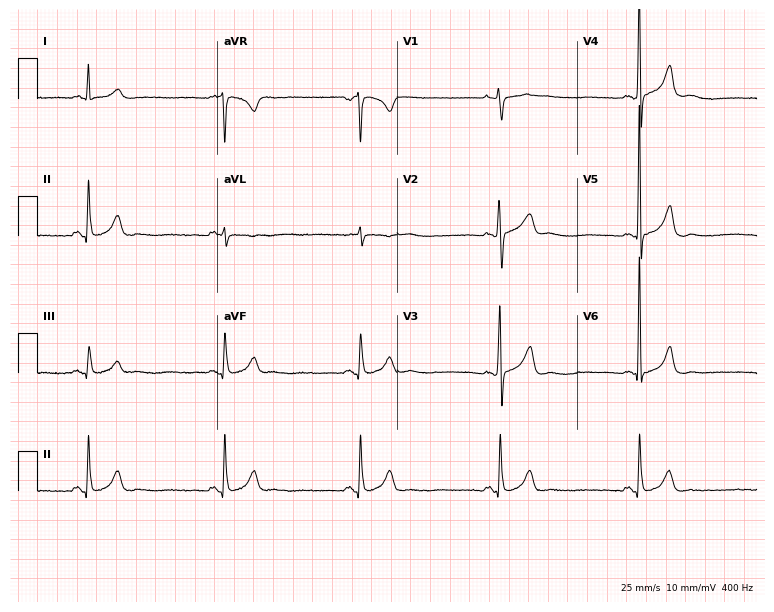
Electrocardiogram (7.3-second recording at 400 Hz), a 62-year-old male. Of the six screened findings (first-degree AV block, right bundle branch block (RBBB), left bundle branch block (LBBB), sinus bradycardia, atrial fibrillation (AF), sinus tachycardia), none is recorded. Findings outside these six are not listed.